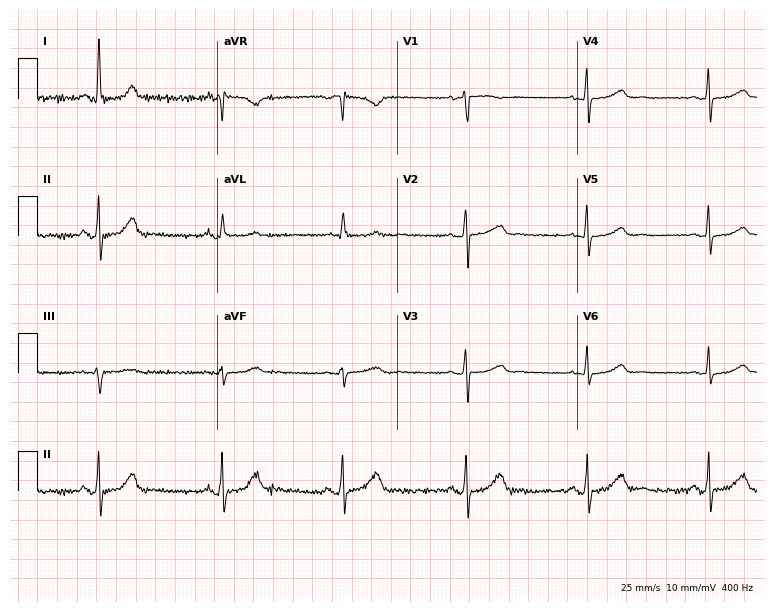
Electrocardiogram, a female, 67 years old. Interpretation includes sinus bradycardia (a sinus rate of 50 beats per minute or less).